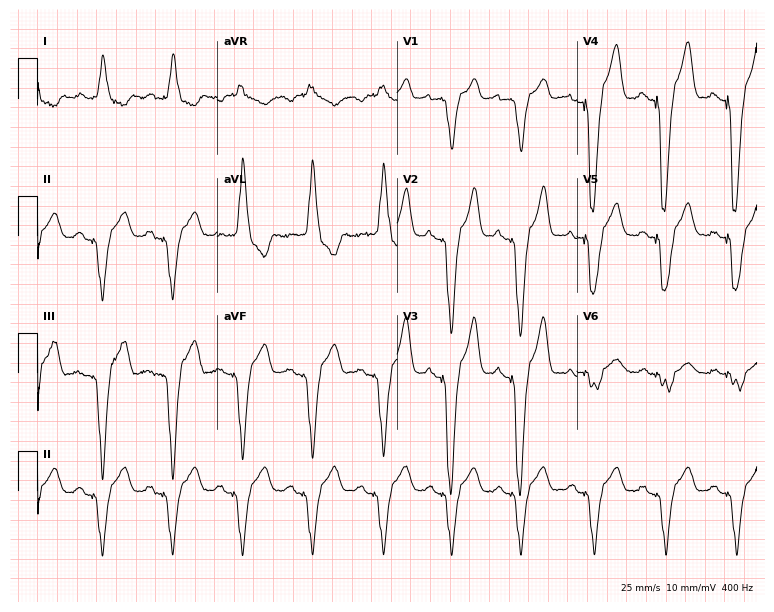
Resting 12-lead electrocardiogram (7.3-second recording at 400 Hz). Patient: a 61-year-old female. The tracing shows left bundle branch block.